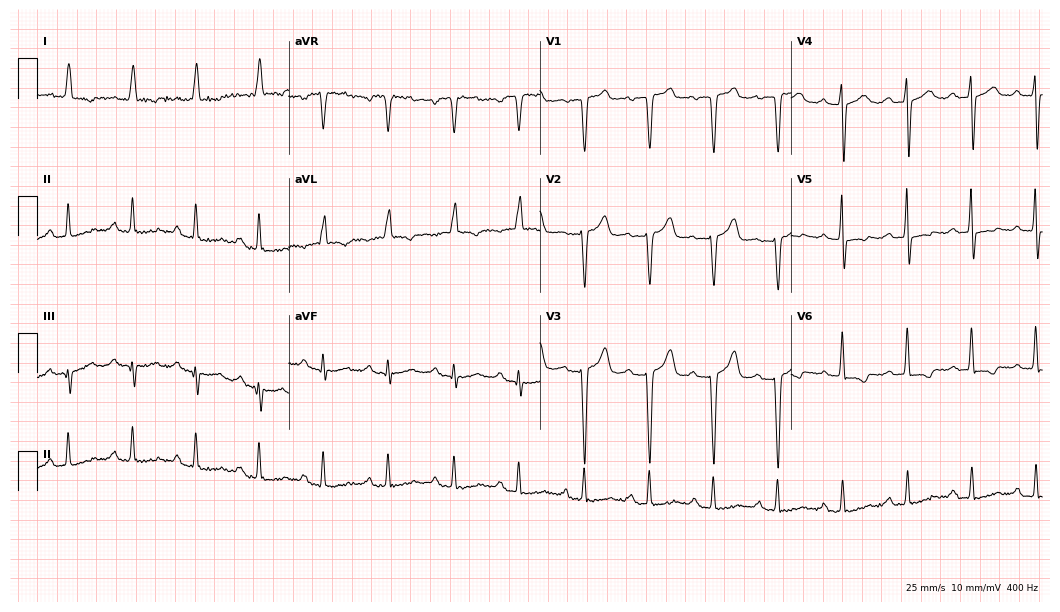
Electrocardiogram (10.2-second recording at 400 Hz), a female, 78 years old. Of the six screened findings (first-degree AV block, right bundle branch block, left bundle branch block, sinus bradycardia, atrial fibrillation, sinus tachycardia), none is recorded.